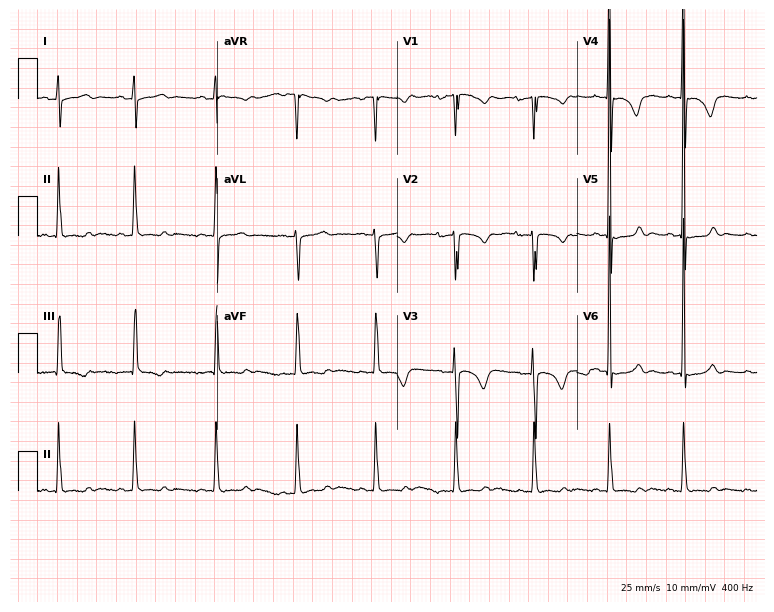
Standard 12-lead ECG recorded from a man, 18 years old (7.3-second recording at 400 Hz). None of these six findings is recorded: first-degree AV block, right bundle branch block, left bundle branch block, sinus bradycardia, atrial fibrillation, sinus tachycardia.